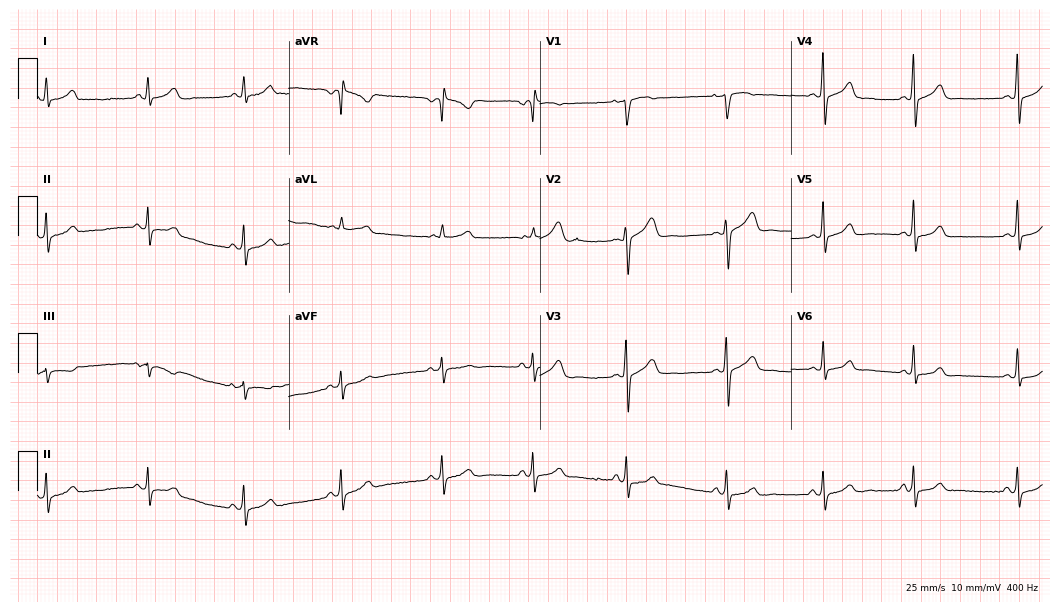
12-lead ECG from an 18-year-old female. Labelled as a normal ECG.